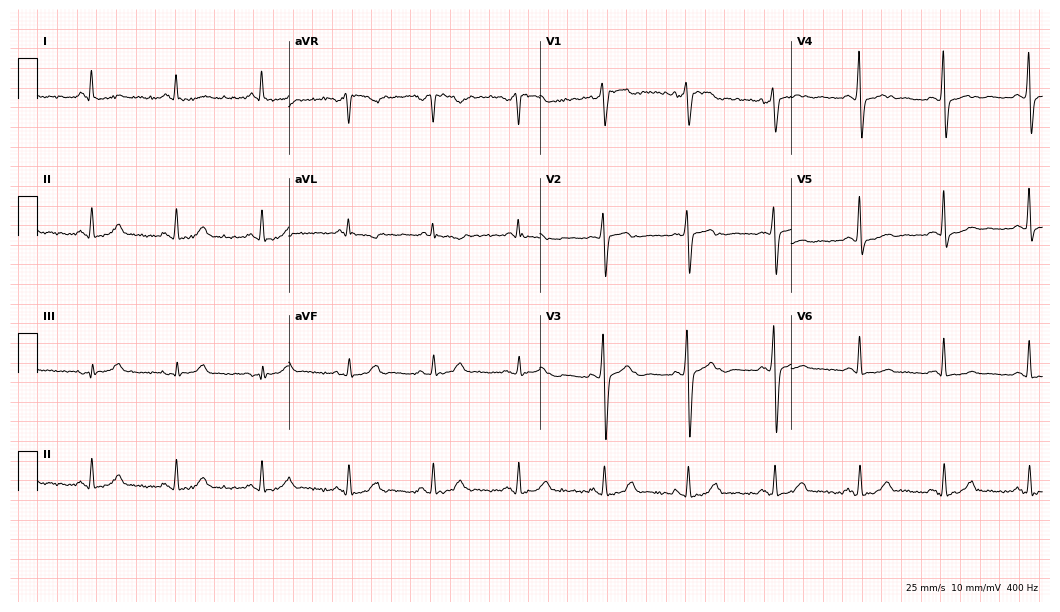
Resting 12-lead electrocardiogram. Patient: a man, 56 years old. None of these six findings is recorded: first-degree AV block, right bundle branch block (RBBB), left bundle branch block (LBBB), sinus bradycardia, atrial fibrillation (AF), sinus tachycardia.